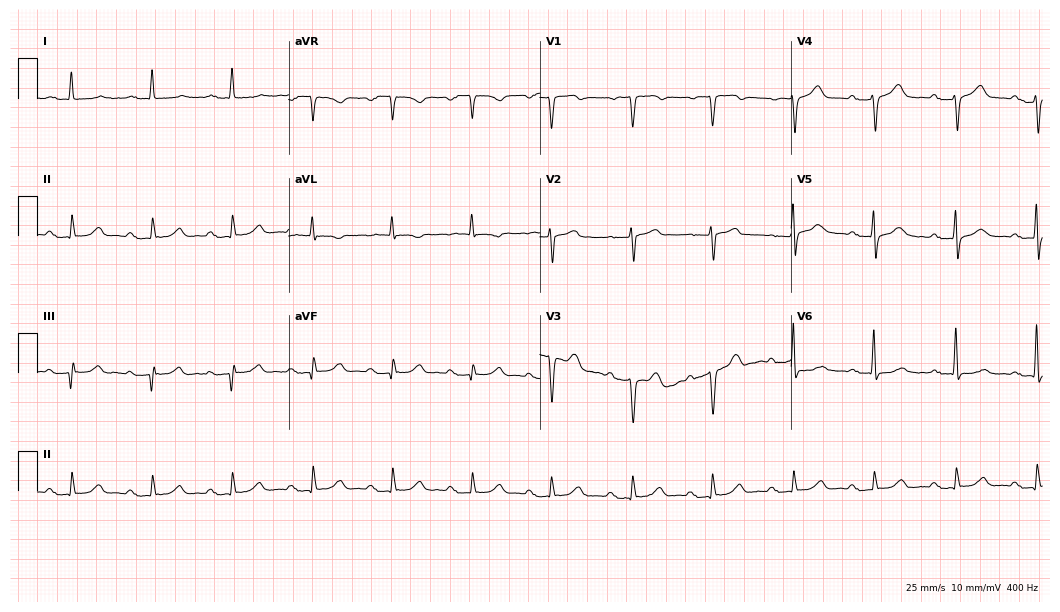
Resting 12-lead electrocardiogram. Patient: a male, 68 years old. None of these six findings is recorded: first-degree AV block, right bundle branch block, left bundle branch block, sinus bradycardia, atrial fibrillation, sinus tachycardia. Other findings, if any, are not listed.